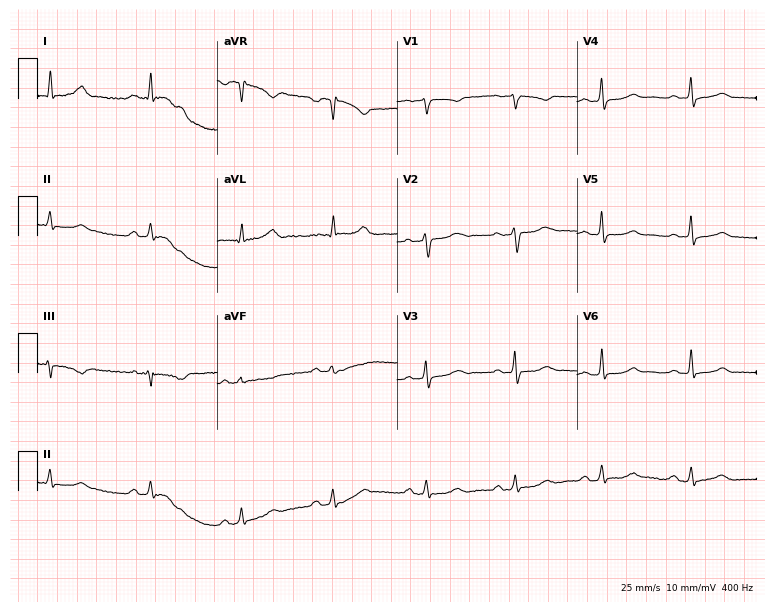
Resting 12-lead electrocardiogram. Patient: a male, 34 years old. None of these six findings is recorded: first-degree AV block, right bundle branch block, left bundle branch block, sinus bradycardia, atrial fibrillation, sinus tachycardia. Other findings, if any, are not listed.